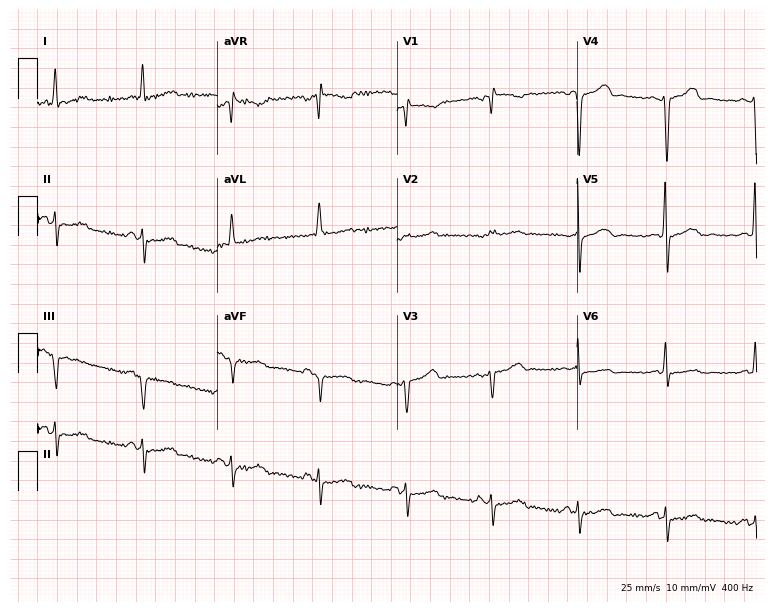
Standard 12-lead ECG recorded from an 84-year-old woman. None of these six findings is recorded: first-degree AV block, right bundle branch block (RBBB), left bundle branch block (LBBB), sinus bradycardia, atrial fibrillation (AF), sinus tachycardia. Other findings, if any, are not listed.